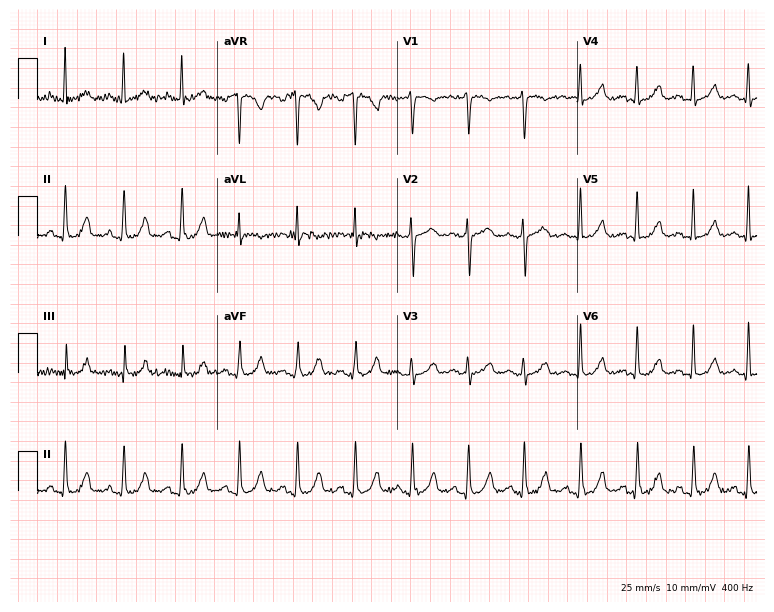
Standard 12-lead ECG recorded from a 48-year-old female patient. The tracing shows sinus tachycardia (a sinus rate of 100 beats per minute or more).